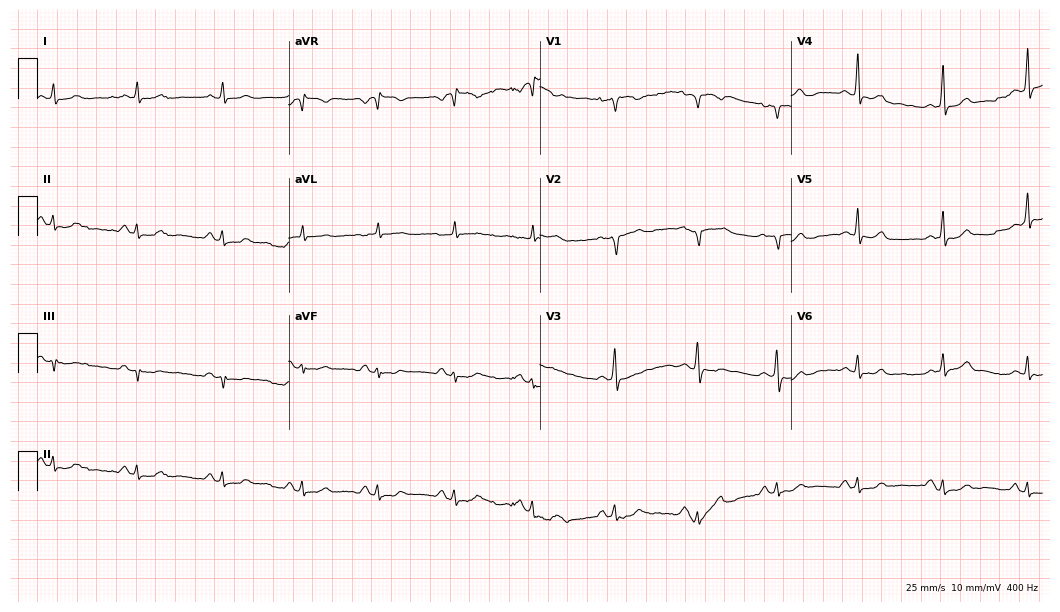
Standard 12-lead ECG recorded from a female patient, 20 years old (10.2-second recording at 400 Hz). Read as a normal ECG.